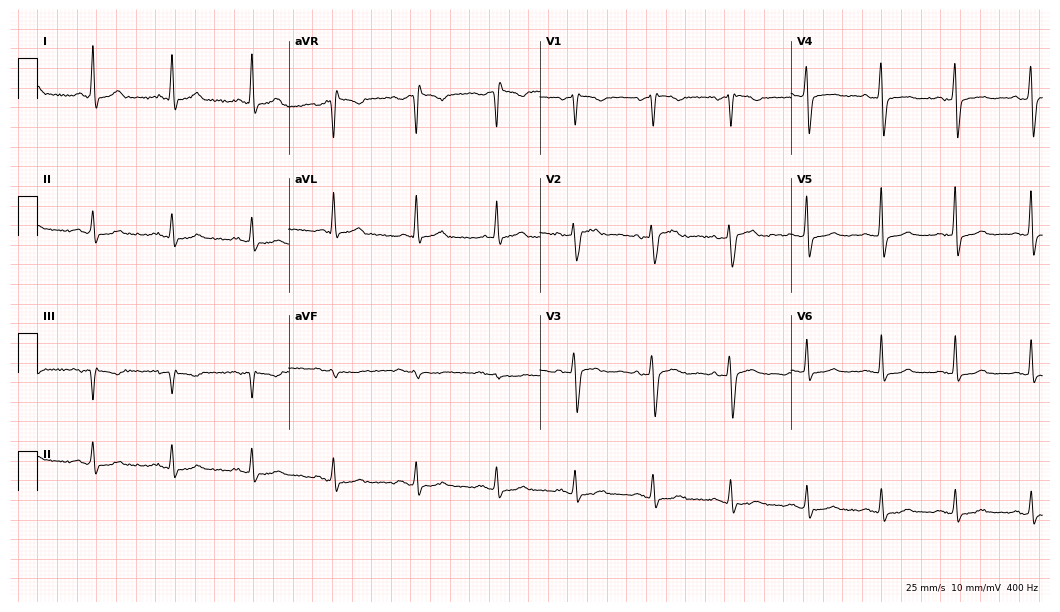
ECG (10.2-second recording at 400 Hz) — a female, 55 years old. Screened for six findings — first-degree AV block, right bundle branch block, left bundle branch block, sinus bradycardia, atrial fibrillation, sinus tachycardia — none is recorded. Findings outside these six are not listed.